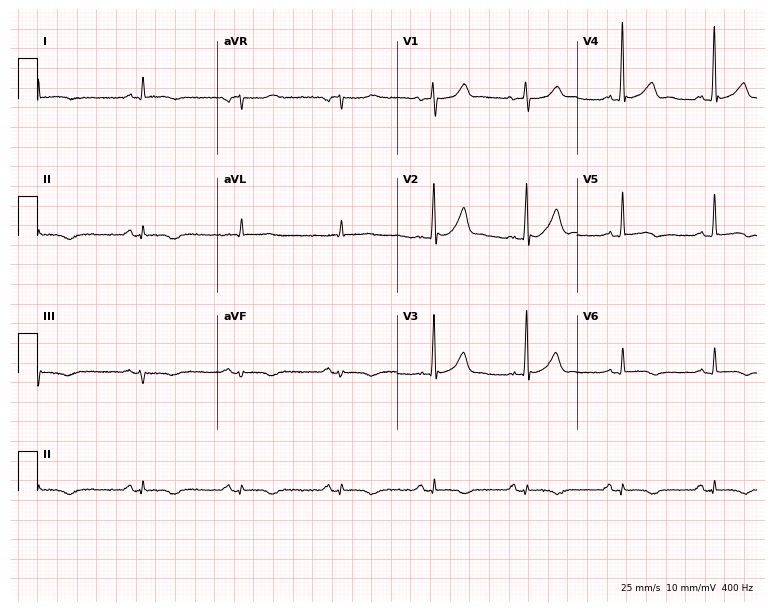
Resting 12-lead electrocardiogram. Patient: a male, 70 years old. None of these six findings is recorded: first-degree AV block, right bundle branch block (RBBB), left bundle branch block (LBBB), sinus bradycardia, atrial fibrillation (AF), sinus tachycardia.